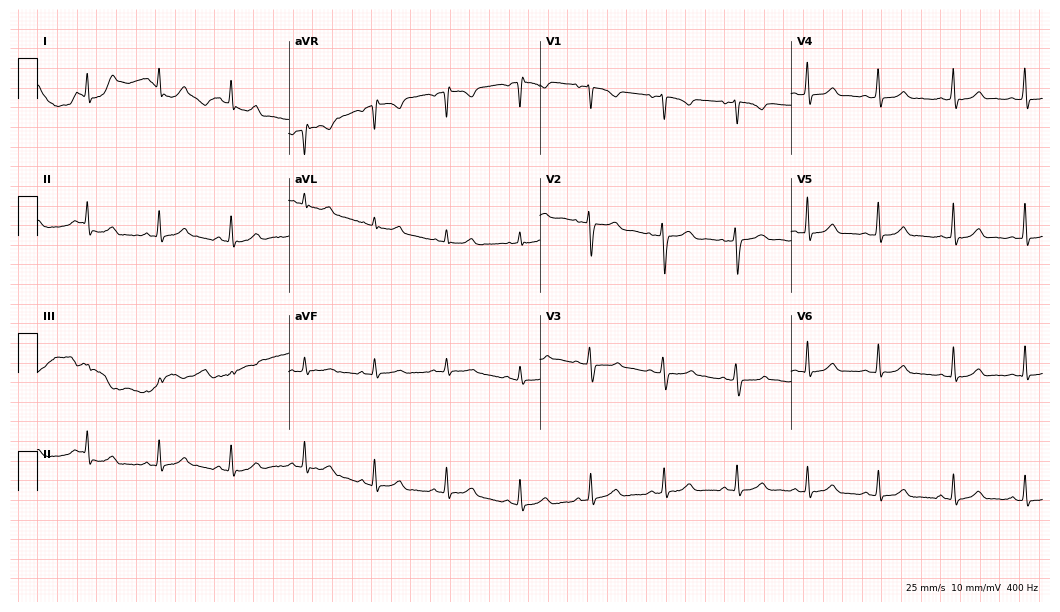
12-lead ECG from a 22-year-old woman (10.2-second recording at 400 Hz). Recorded interpretation: within normal limits.